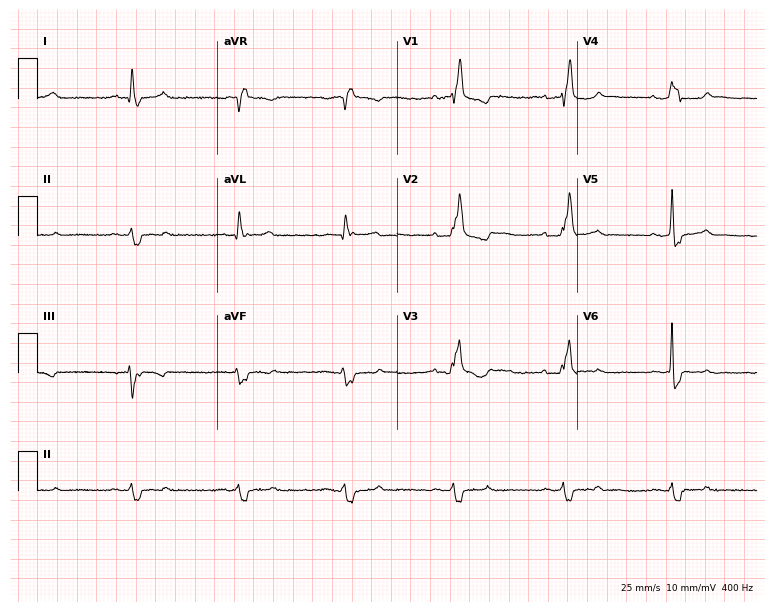
Standard 12-lead ECG recorded from a male, 56 years old (7.3-second recording at 400 Hz). The tracing shows right bundle branch block.